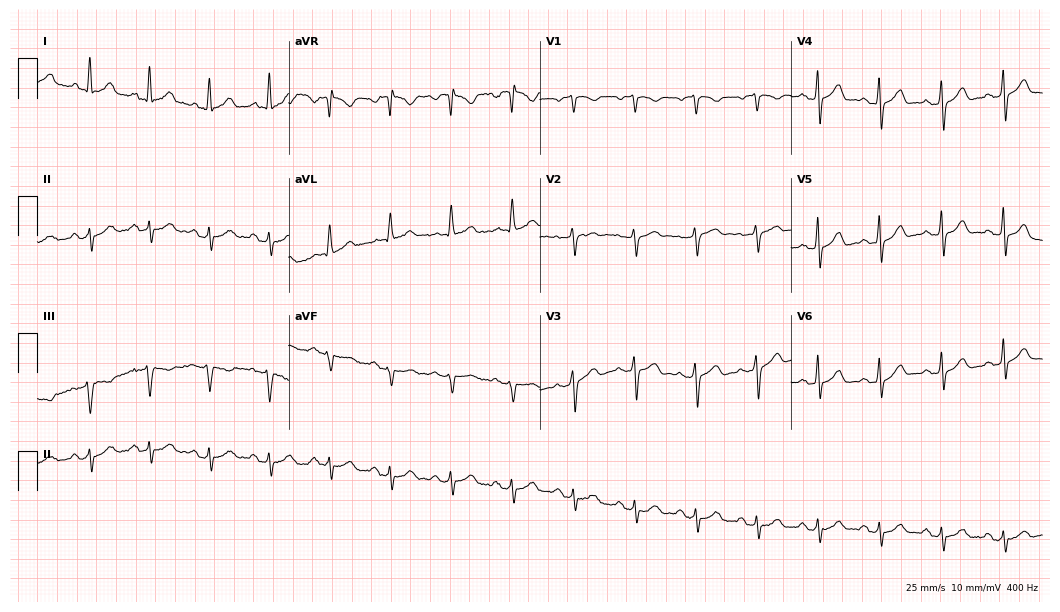
Standard 12-lead ECG recorded from a 65-year-old male patient. None of these six findings is recorded: first-degree AV block, right bundle branch block (RBBB), left bundle branch block (LBBB), sinus bradycardia, atrial fibrillation (AF), sinus tachycardia.